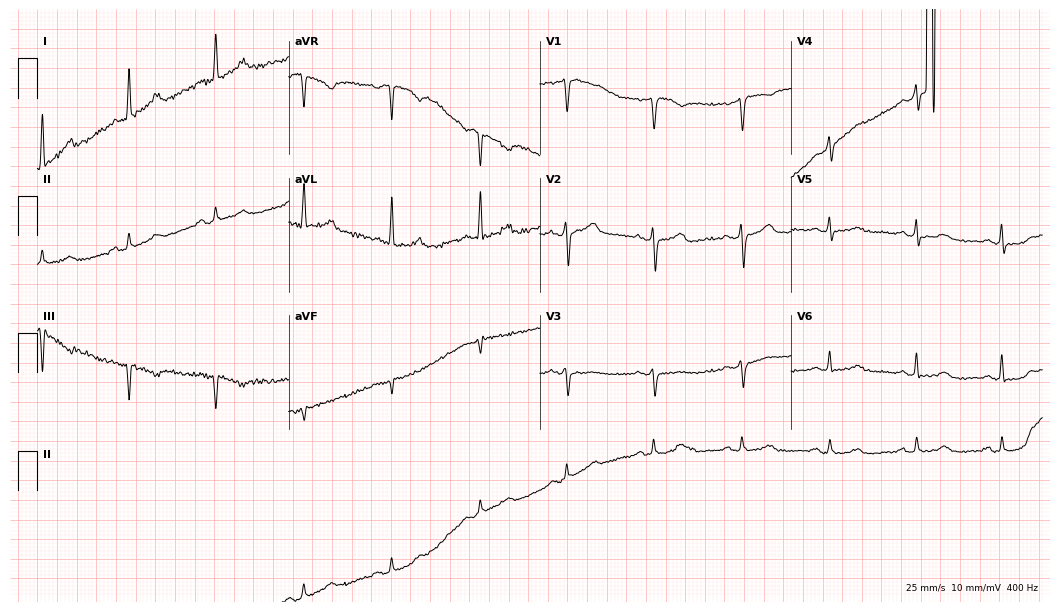
Resting 12-lead electrocardiogram (10.2-second recording at 400 Hz). Patient: a 74-year-old woman. None of these six findings is recorded: first-degree AV block, right bundle branch block (RBBB), left bundle branch block (LBBB), sinus bradycardia, atrial fibrillation (AF), sinus tachycardia. Only these six findings were labelled.